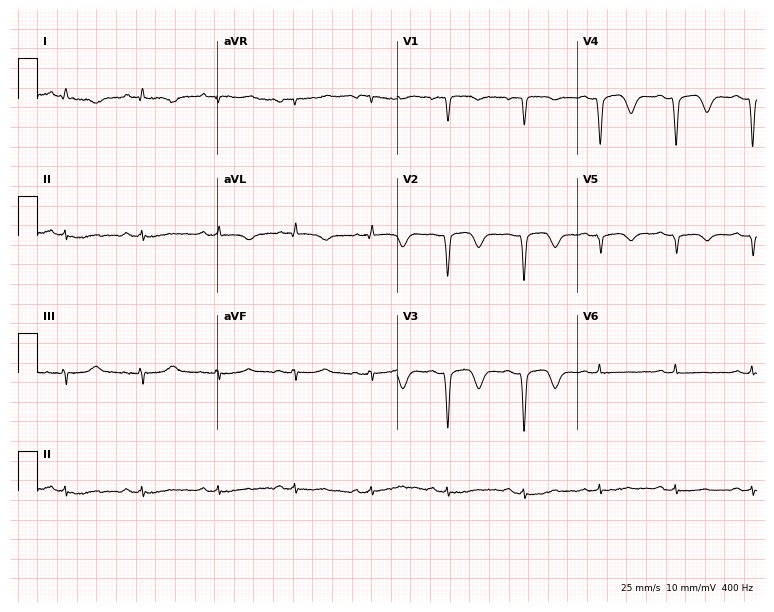
12-lead ECG from a man, 63 years old. Screened for six findings — first-degree AV block, right bundle branch block, left bundle branch block, sinus bradycardia, atrial fibrillation, sinus tachycardia — none is recorded. Only these six findings were labelled.